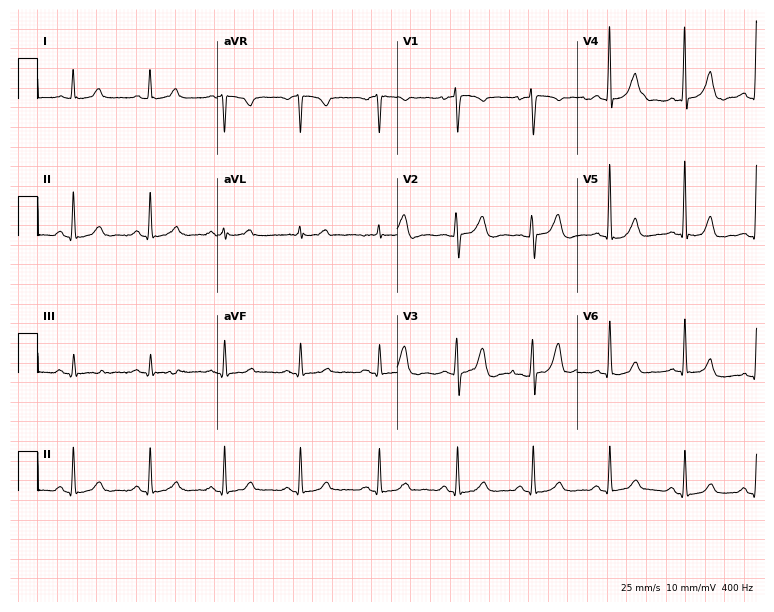
Standard 12-lead ECG recorded from a 39-year-old female. Read as a normal ECG.